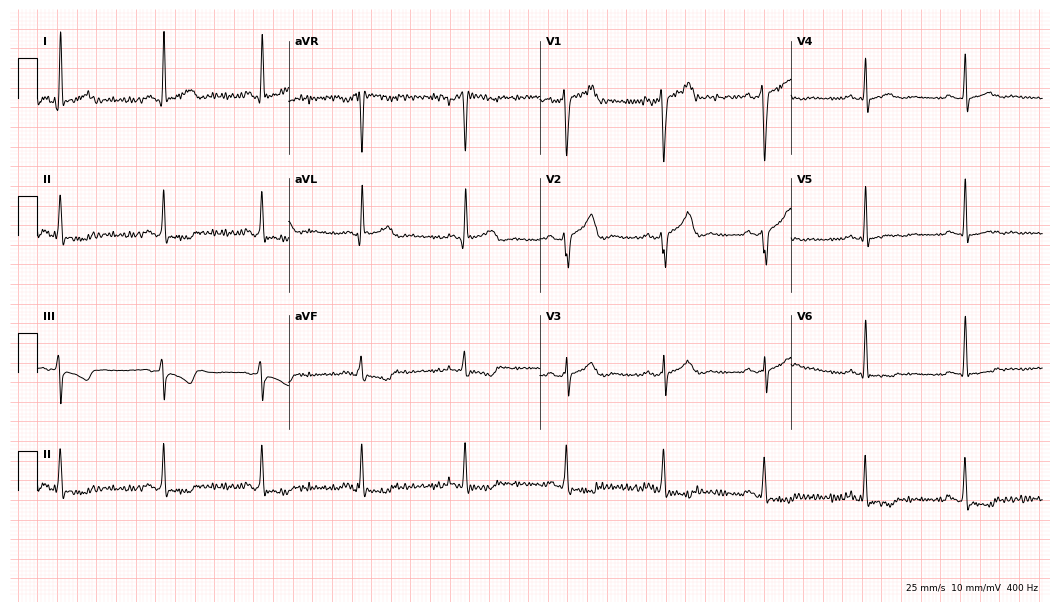
12-lead ECG from a man, 33 years old (10.2-second recording at 400 Hz). No first-degree AV block, right bundle branch block, left bundle branch block, sinus bradycardia, atrial fibrillation or sinus tachycardia recorded for this tracing. Other findings, if any, are not listed.